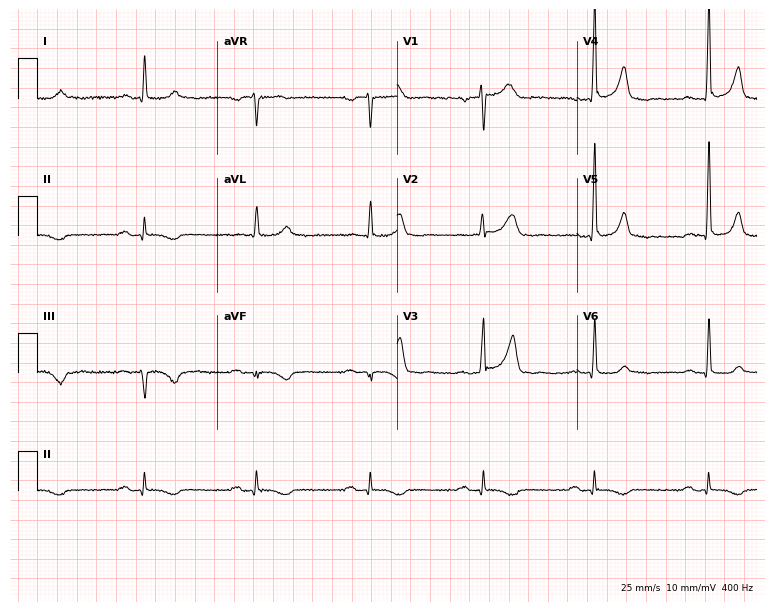
12-lead ECG from a 55-year-old male. Labelled as a normal ECG.